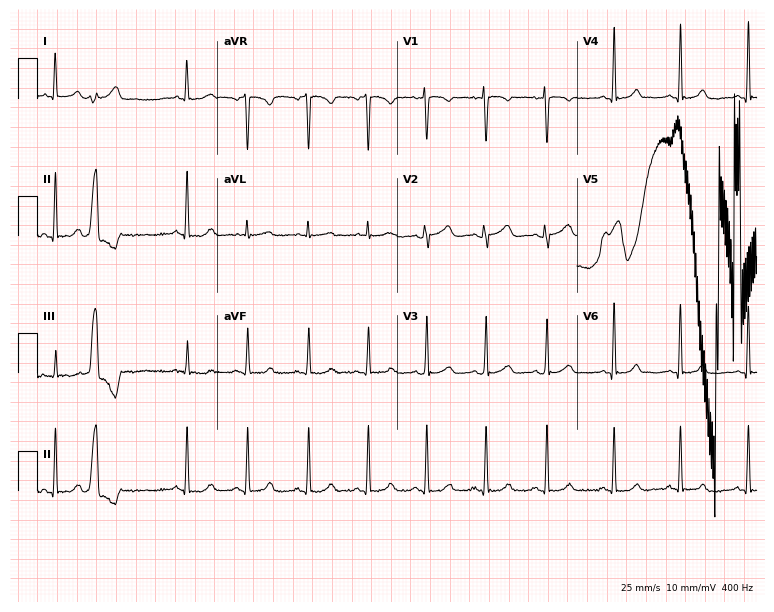
12-lead ECG from a 19-year-old woman. No first-degree AV block, right bundle branch block (RBBB), left bundle branch block (LBBB), sinus bradycardia, atrial fibrillation (AF) or sinus tachycardia recorded for this tracing. Other findings, if any, are not listed.